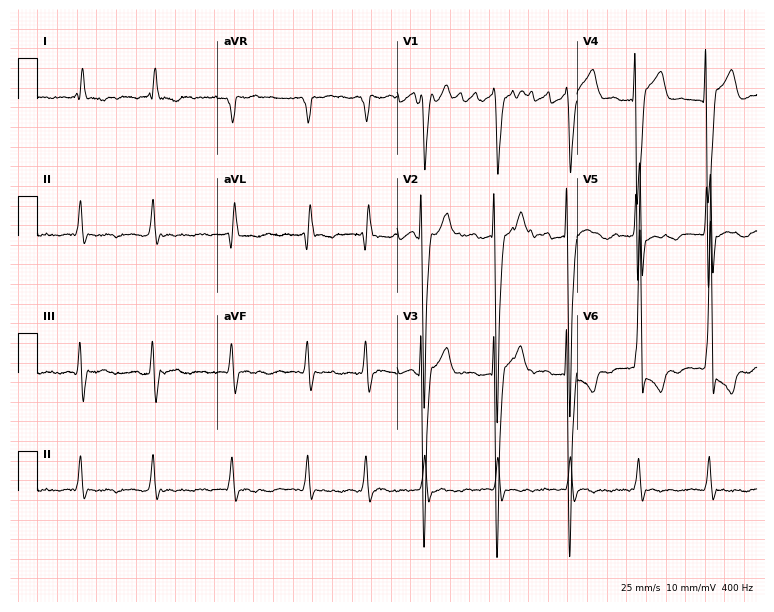
12-lead ECG (7.3-second recording at 400 Hz) from a female, 65 years old. Findings include left bundle branch block, atrial fibrillation.